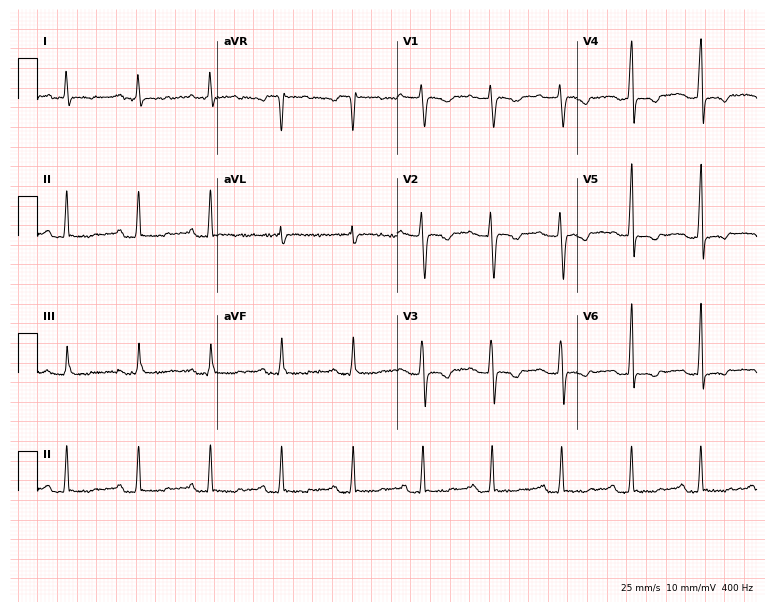
Standard 12-lead ECG recorded from a 33-year-old female (7.3-second recording at 400 Hz). None of these six findings is recorded: first-degree AV block, right bundle branch block, left bundle branch block, sinus bradycardia, atrial fibrillation, sinus tachycardia. Findings outside these six are not listed.